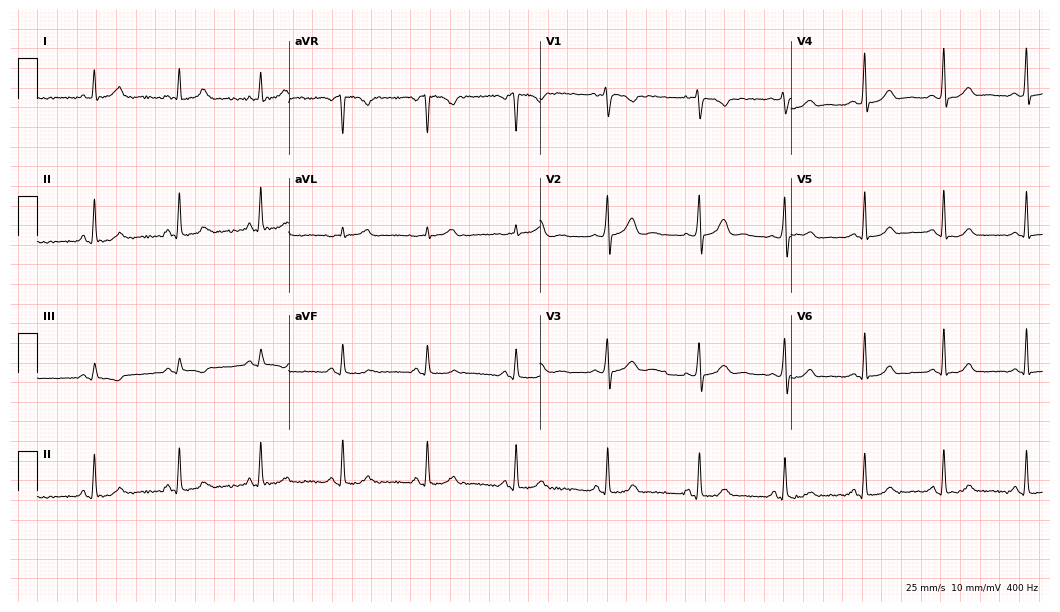
12-lead ECG from a female, 34 years old. Recorded interpretation: within normal limits.